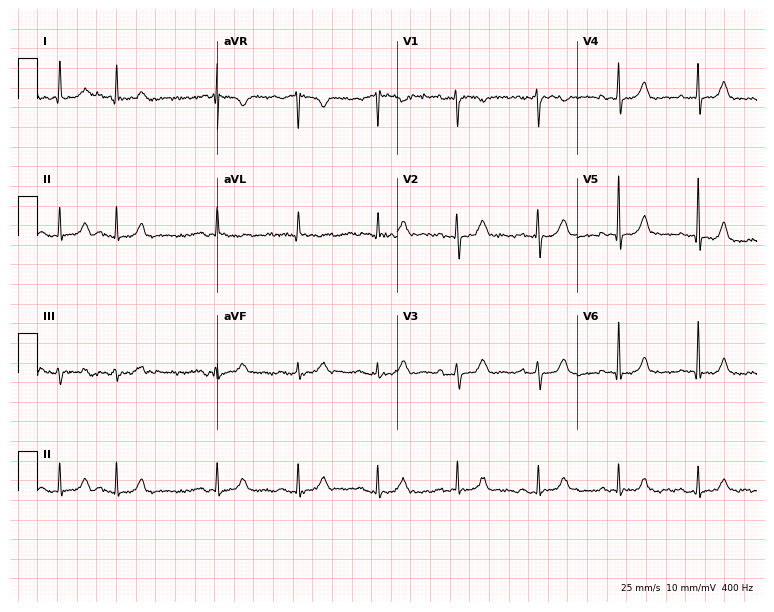
Electrocardiogram, a female, 80 years old. Overall reading on record: normal ECG.